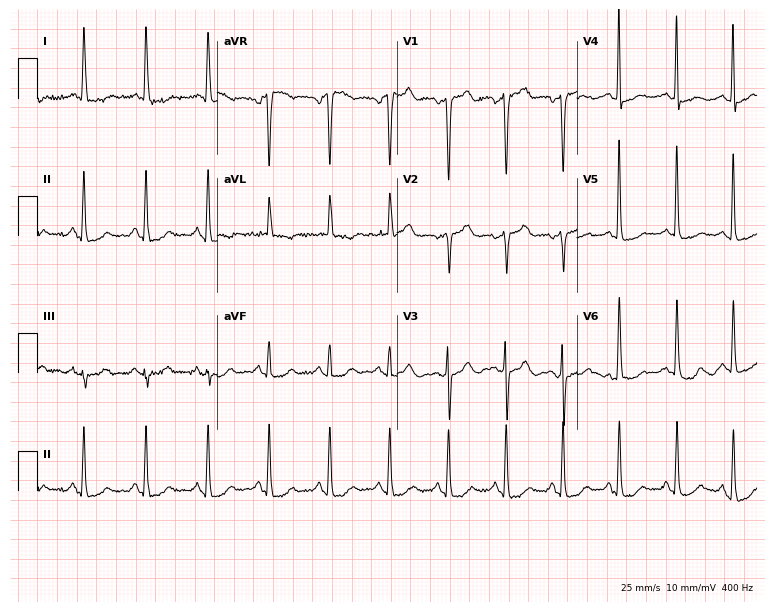
Electrocardiogram (7.3-second recording at 400 Hz), a woman, 62 years old. Of the six screened findings (first-degree AV block, right bundle branch block (RBBB), left bundle branch block (LBBB), sinus bradycardia, atrial fibrillation (AF), sinus tachycardia), none is recorded. Findings outside these six are not listed.